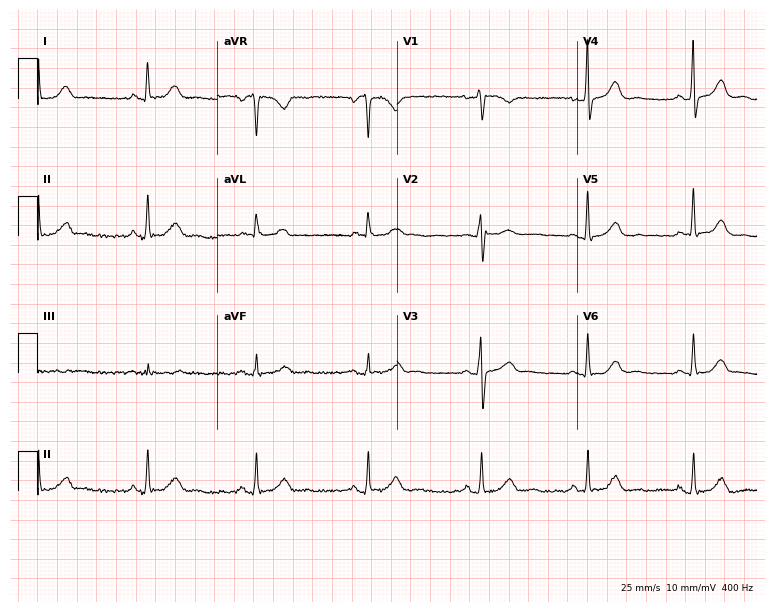
12-lead ECG from a 48-year-old female (7.3-second recording at 400 Hz). Recorded interpretation: within normal limits.